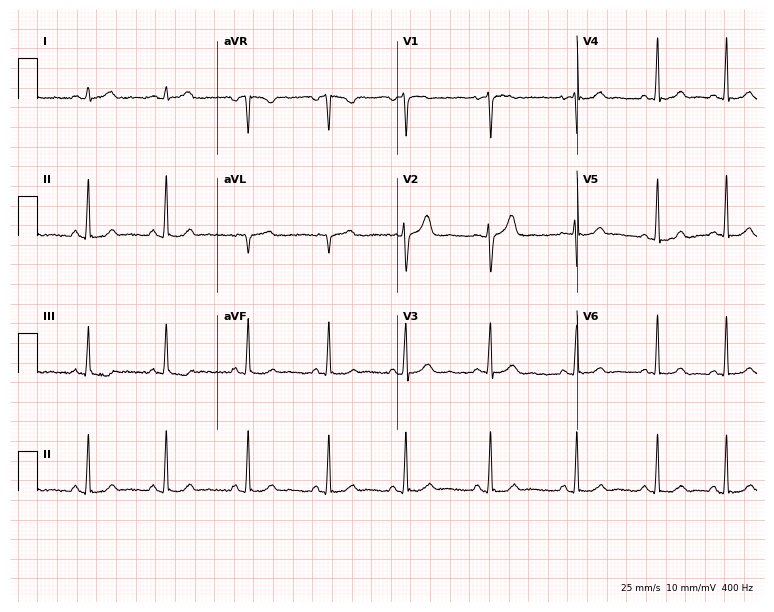
ECG (7.3-second recording at 400 Hz) — a 25-year-old woman. Labelled as a normal ECG.